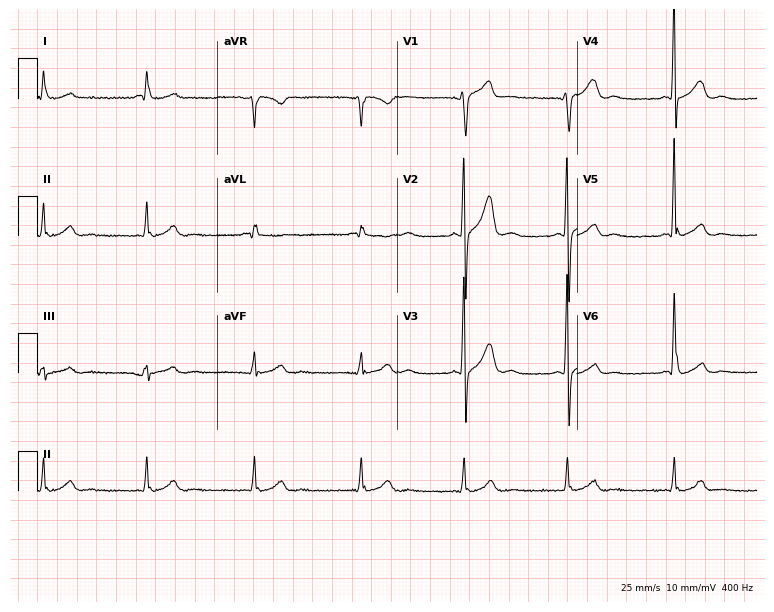
12-lead ECG from a male, 59 years old (7.3-second recording at 400 Hz). No first-degree AV block, right bundle branch block, left bundle branch block, sinus bradycardia, atrial fibrillation or sinus tachycardia recorded for this tracing. Findings outside these six are not listed.